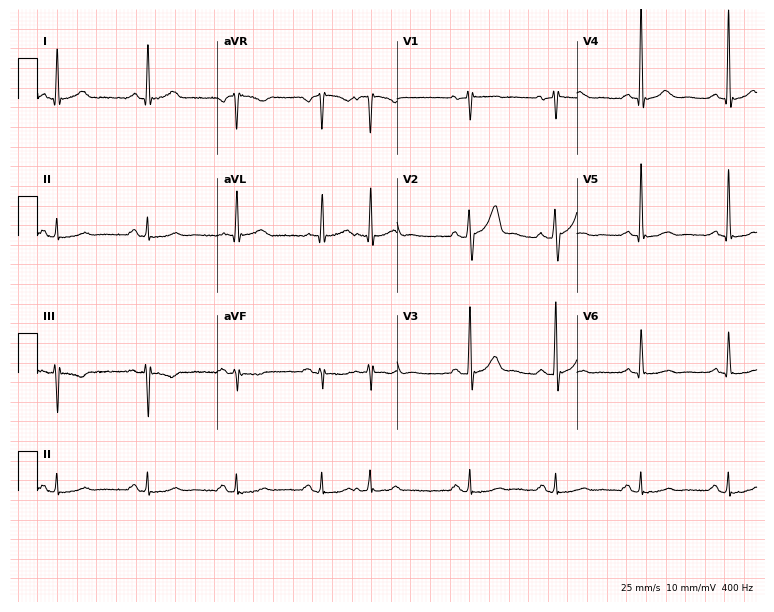
Resting 12-lead electrocardiogram. Patient: a man, 63 years old. Read as a normal ECG.